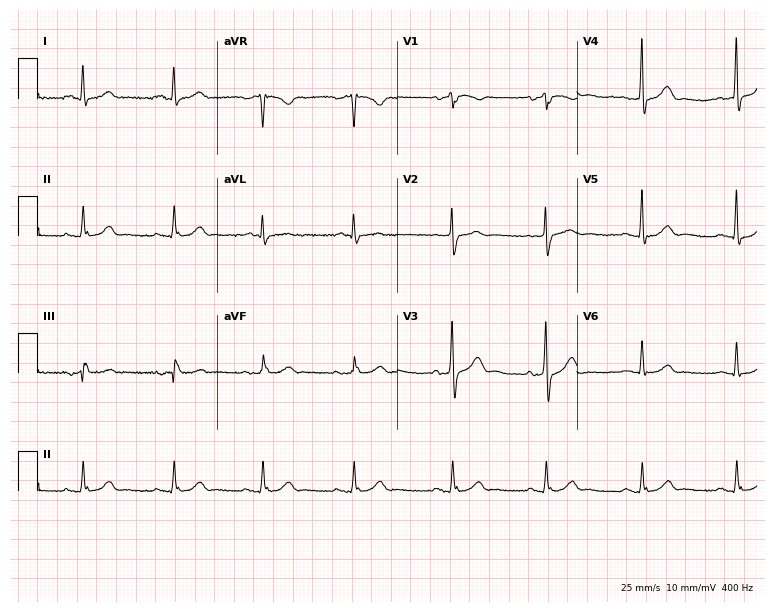
Electrocardiogram (7.3-second recording at 400 Hz), a 77-year-old male. Overall reading on record: normal ECG.